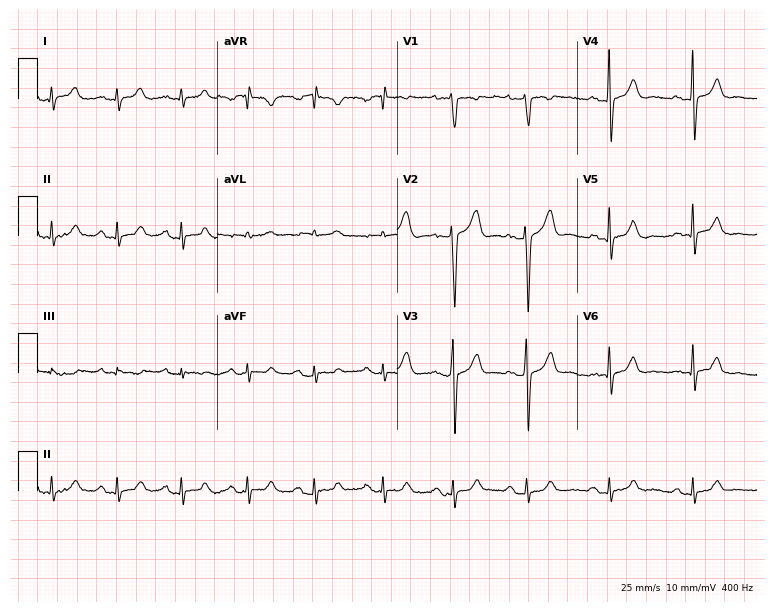
Standard 12-lead ECG recorded from a 33-year-old male patient. None of these six findings is recorded: first-degree AV block, right bundle branch block, left bundle branch block, sinus bradycardia, atrial fibrillation, sinus tachycardia.